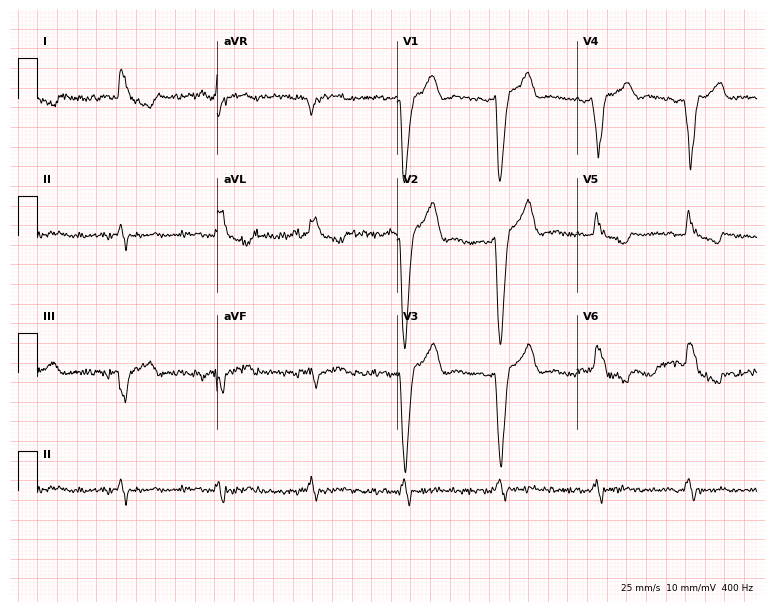
12-lead ECG from a male patient, 80 years old (7.3-second recording at 400 Hz). Shows left bundle branch block.